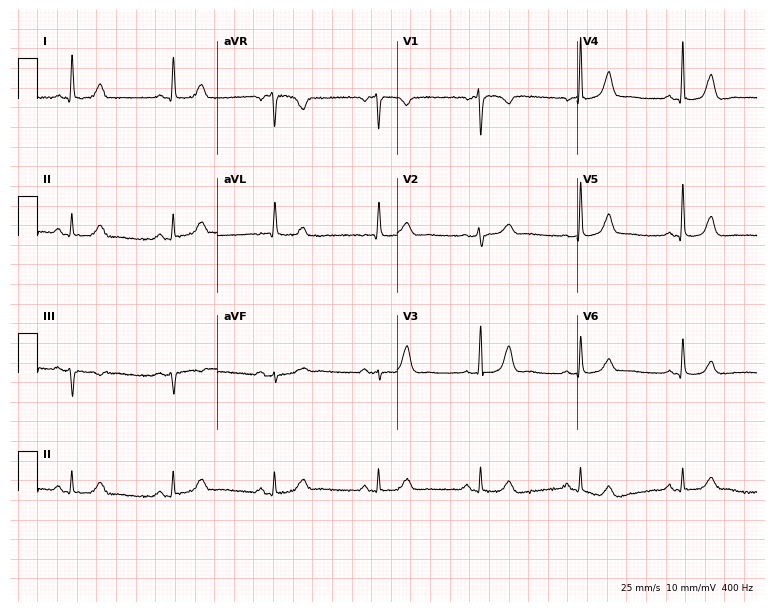
Electrocardiogram (7.3-second recording at 400 Hz), a female, 73 years old. Overall reading on record: normal ECG.